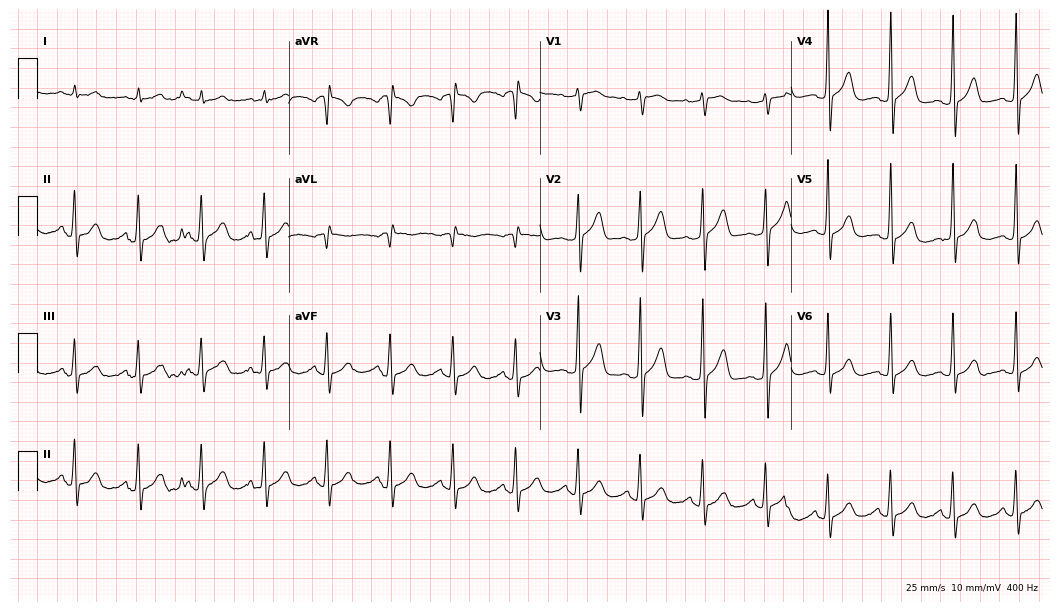
ECG (10.2-second recording at 400 Hz) — a 57-year-old male. Labelled as a normal ECG.